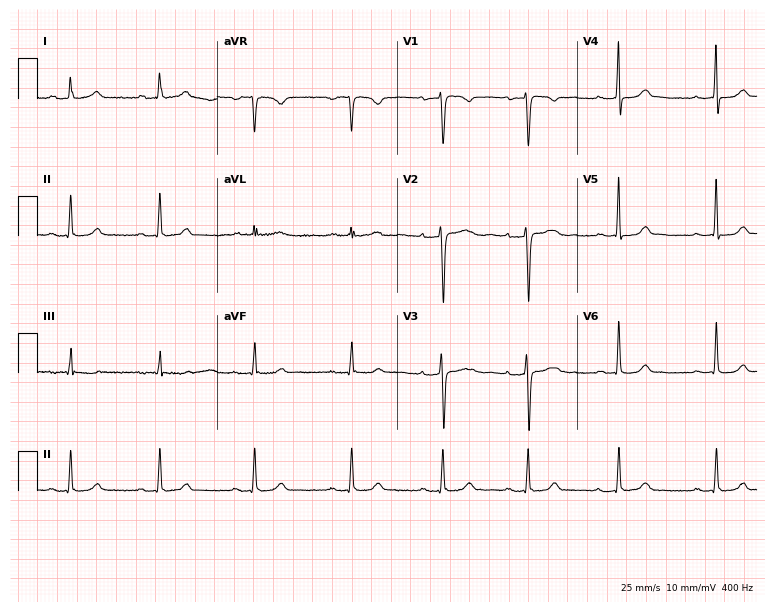
ECG (7.3-second recording at 400 Hz) — a 38-year-old female. Labelled as a normal ECG.